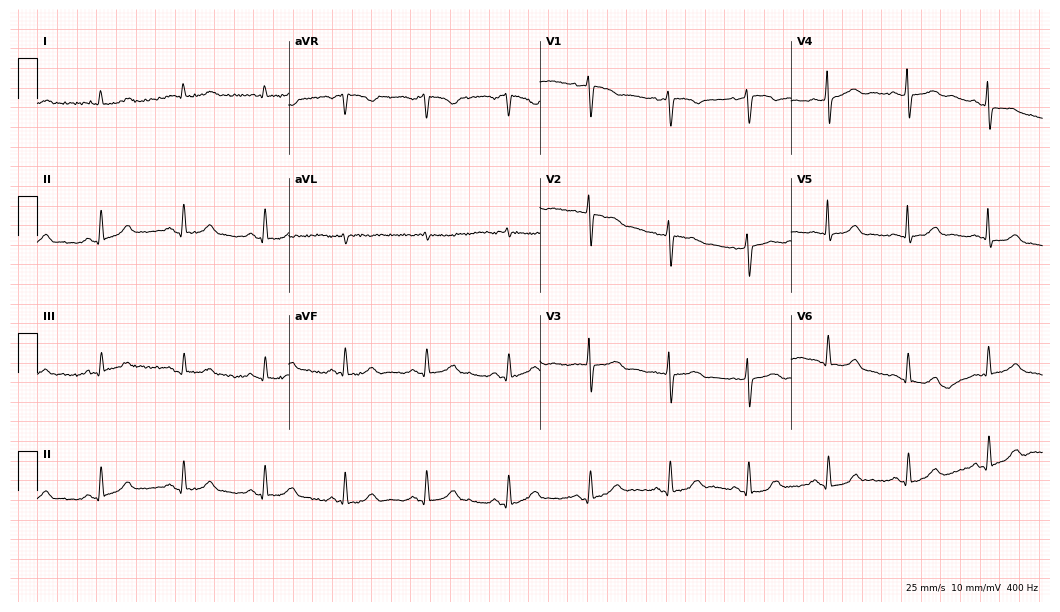
12-lead ECG from an 80-year-old woman. No first-degree AV block, right bundle branch block (RBBB), left bundle branch block (LBBB), sinus bradycardia, atrial fibrillation (AF) or sinus tachycardia recorded for this tracing. Only these six findings were labelled.